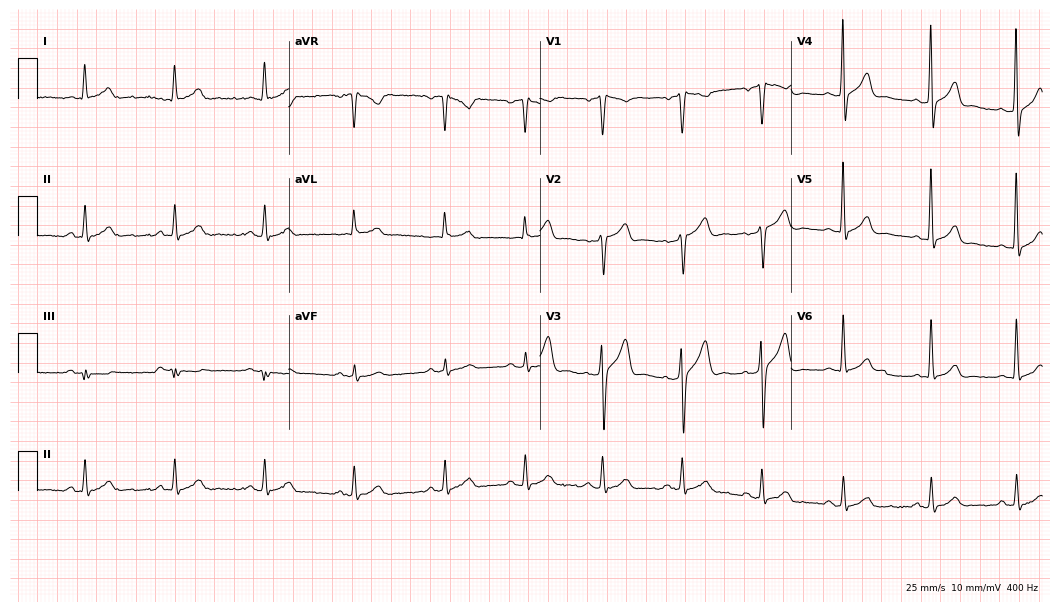
Electrocardiogram (10.2-second recording at 400 Hz), a 50-year-old male. Overall reading on record: normal ECG.